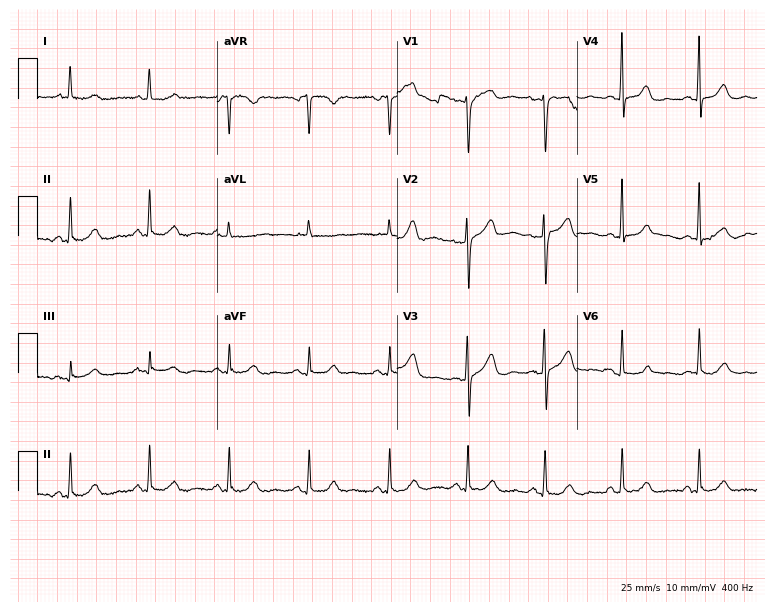
Resting 12-lead electrocardiogram (7.3-second recording at 400 Hz). Patient: a female, 51 years old. None of these six findings is recorded: first-degree AV block, right bundle branch block, left bundle branch block, sinus bradycardia, atrial fibrillation, sinus tachycardia. Findings outside these six are not listed.